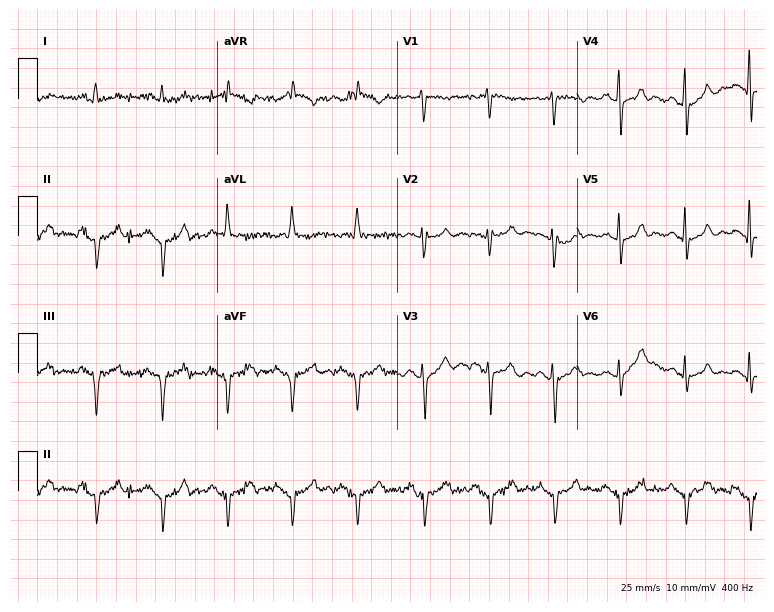
Resting 12-lead electrocardiogram. Patient: a male, 74 years old. None of these six findings is recorded: first-degree AV block, right bundle branch block, left bundle branch block, sinus bradycardia, atrial fibrillation, sinus tachycardia.